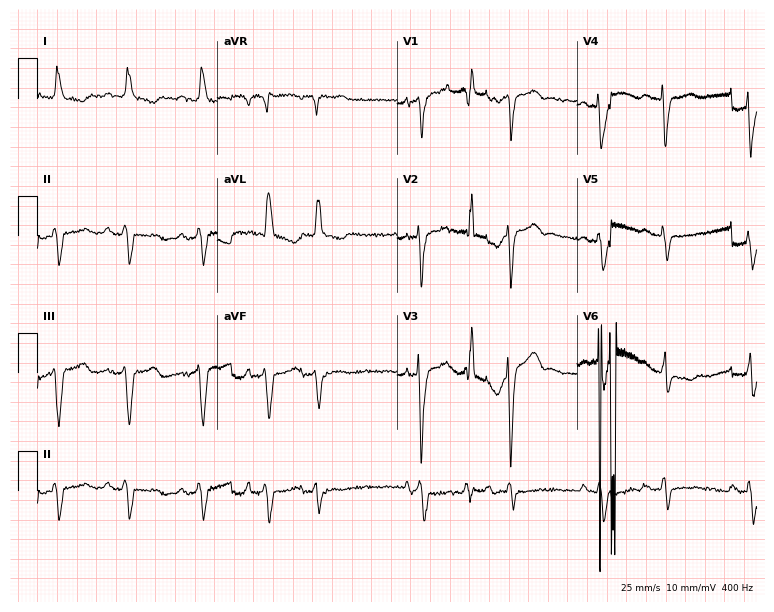
Resting 12-lead electrocardiogram. Patient: a 72-year-old woman. None of these six findings is recorded: first-degree AV block, right bundle branch block, left bundle branch block, sinus bradycardia, atrial fibrillation, sinus tachycardia.